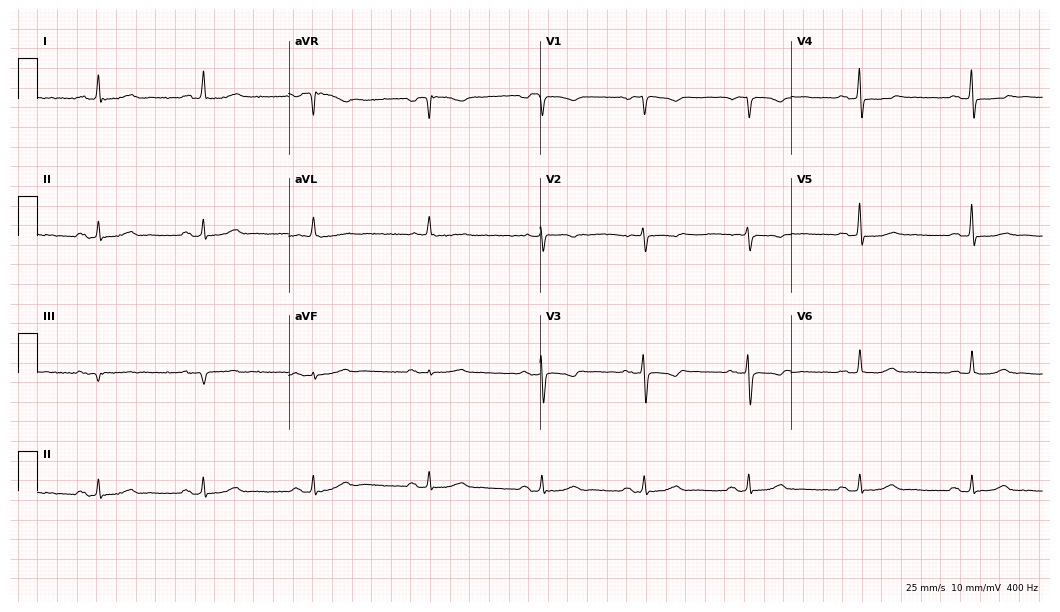
12-lead ECG (10.2-second recording at 400 Hz) from a 58-year-old female patient. Labelled as a normal ECG.